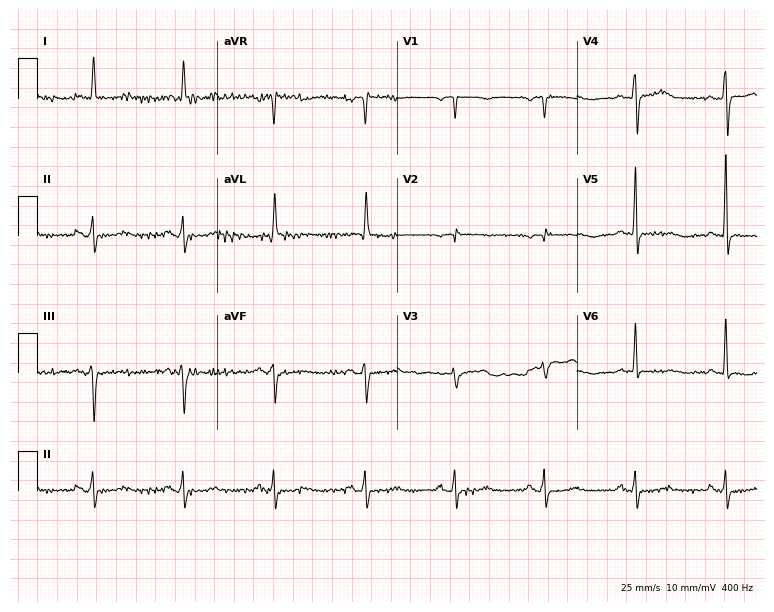
Standard 12-lead ECG recorded from a 75-year-old female patient (7.3-second recording at 400 Hz). None of these six findings is recorded: first-degree AV block, right bundle branch block (RBBB), left bundle branch block (LBBB), sinus bradycardia, atrial fibrillation (AF), sinus tachycardia.